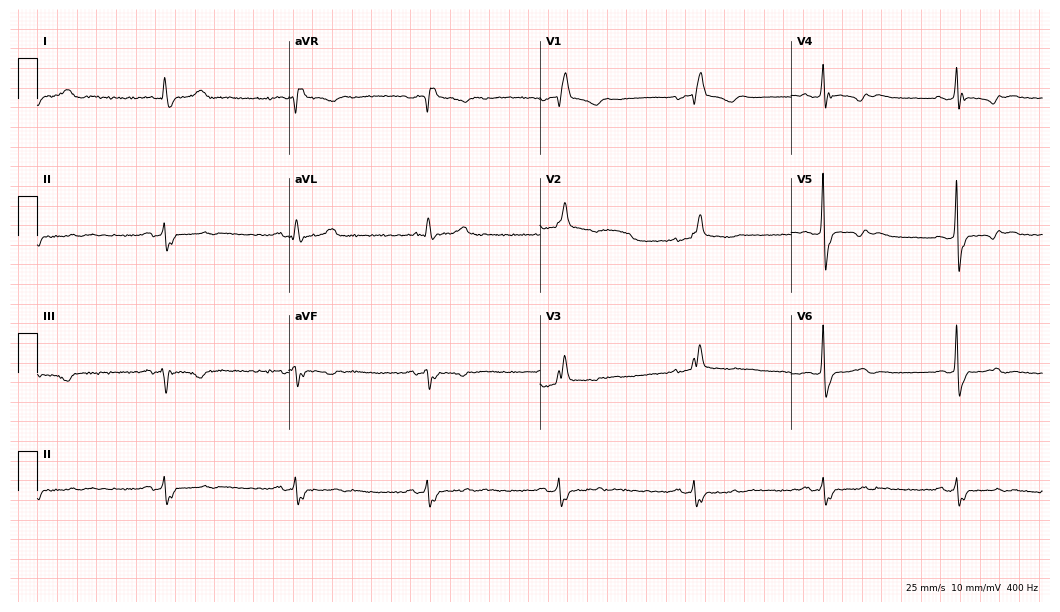
Resting 12-lead electrocardiogram. Patient: a 62-year-old female. The tracing shows right bundle branch block, sinus bradycardia (a sinus rate of 50 beats per minute or less).